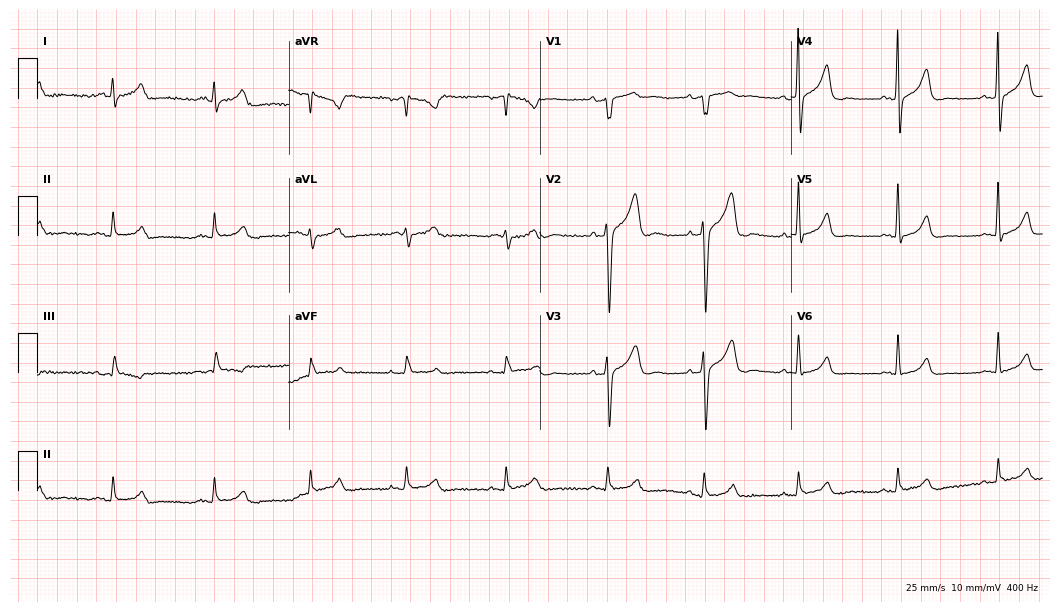
Electrocardiogram, a male, 47 years old. Overall reading on record: normal ECG.